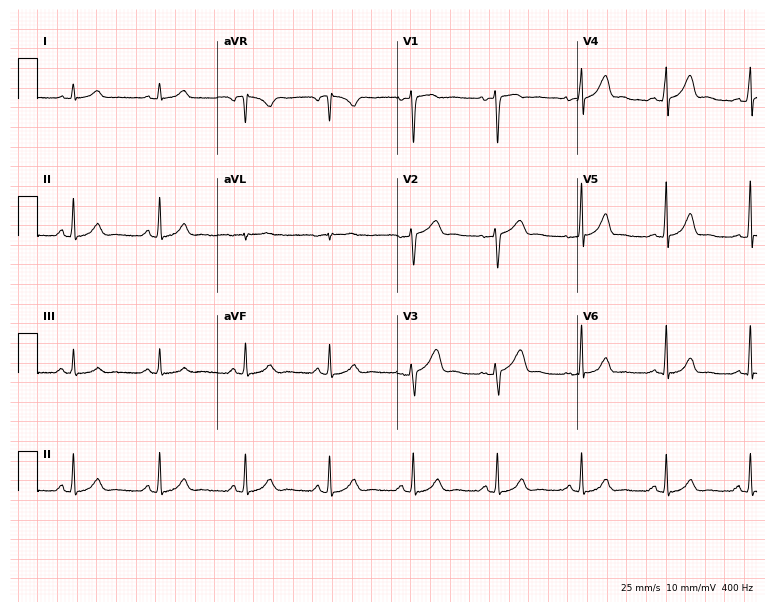
Standard 12-lead ECG recorded from a 38-year-old female (7.3-second recording at 400 Hz). None of these six findings is recorded: first-degree AV block, right bundle branch block, left bundle branch block, sinus bradycardia, atrial fibrillation, sinus tachycardia.